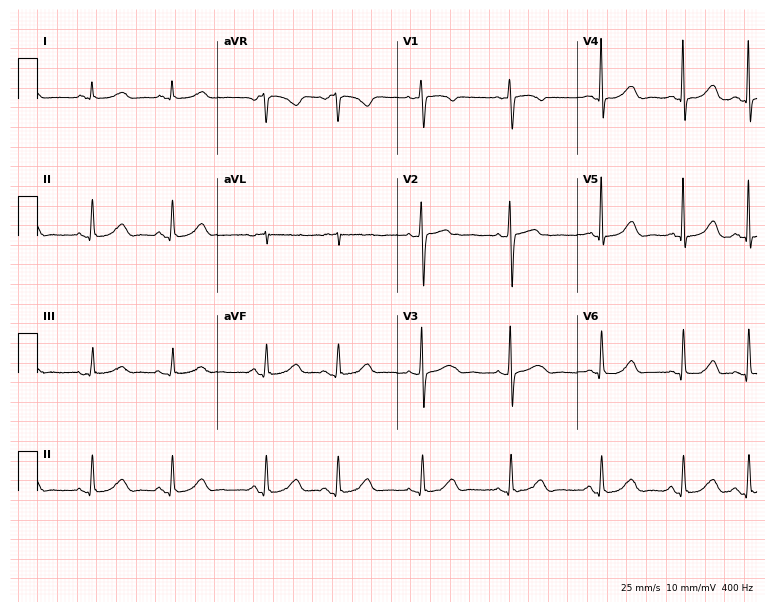
12-lead ECG from an 81-year-old female patient (7.3-second recording at 400 Hz). Recorded interpretation: within normal limits.